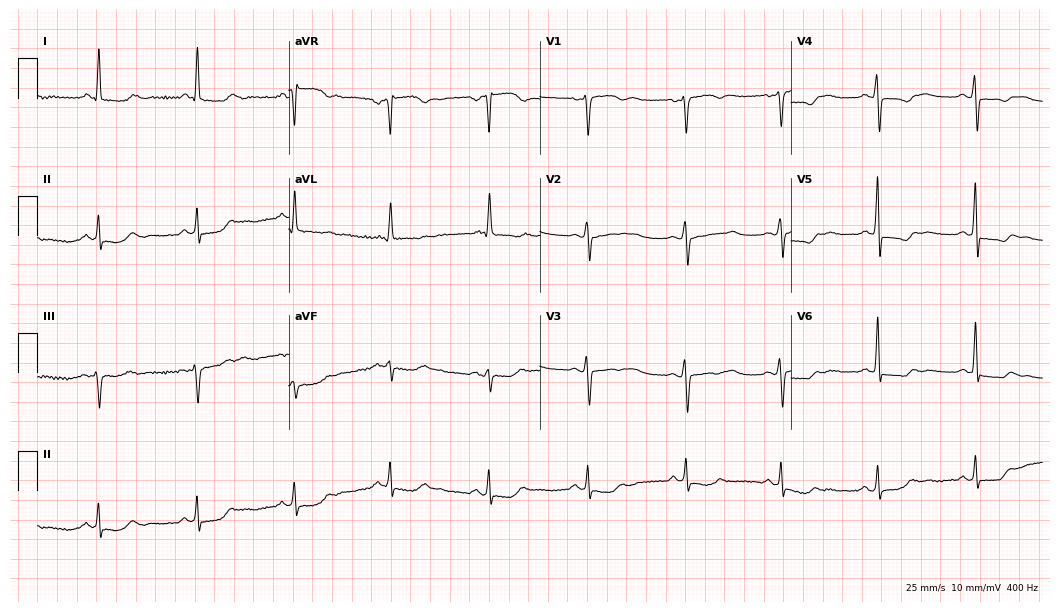
12-lead ECG (10.2-second recording at 400 Hz) from a 55-year-old woman. Screened for six findings — first-degree AV block, right bundle branch block, left bundle branch block, sinus bradycardia, atrial fibrillation, sinus tachycardia — none is recorded. Only these six findings were labelled.